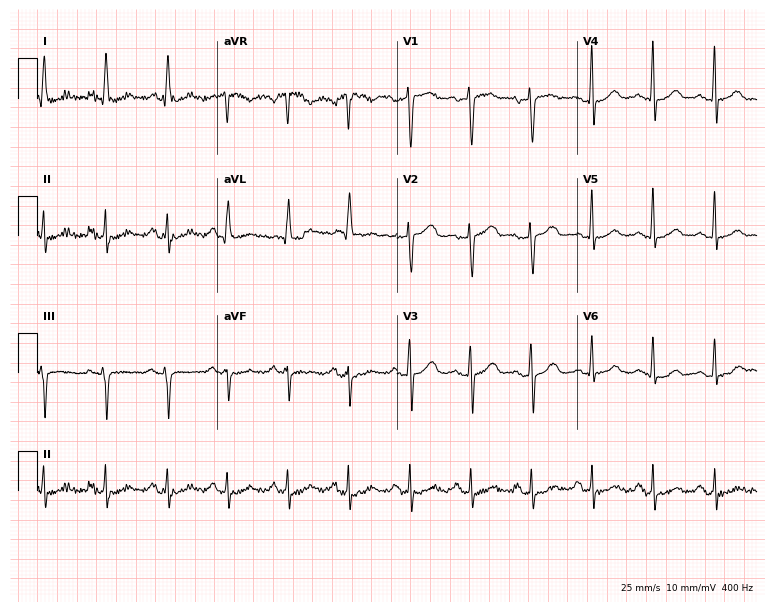
Electrocardiogram, a female patient, 57 years old. Overall reading on record: normal ECG.